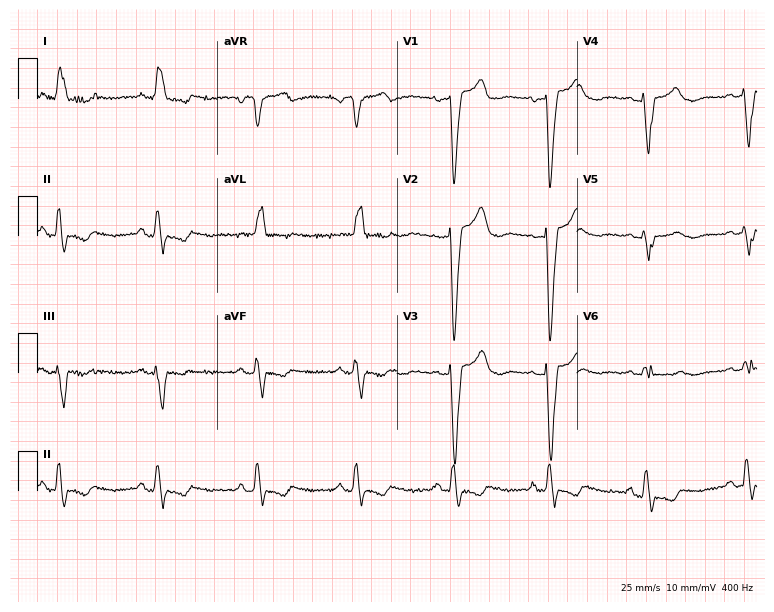
12-lead ECG from a woman, 63 years old. Findings include left bundle branch block (LBBB).